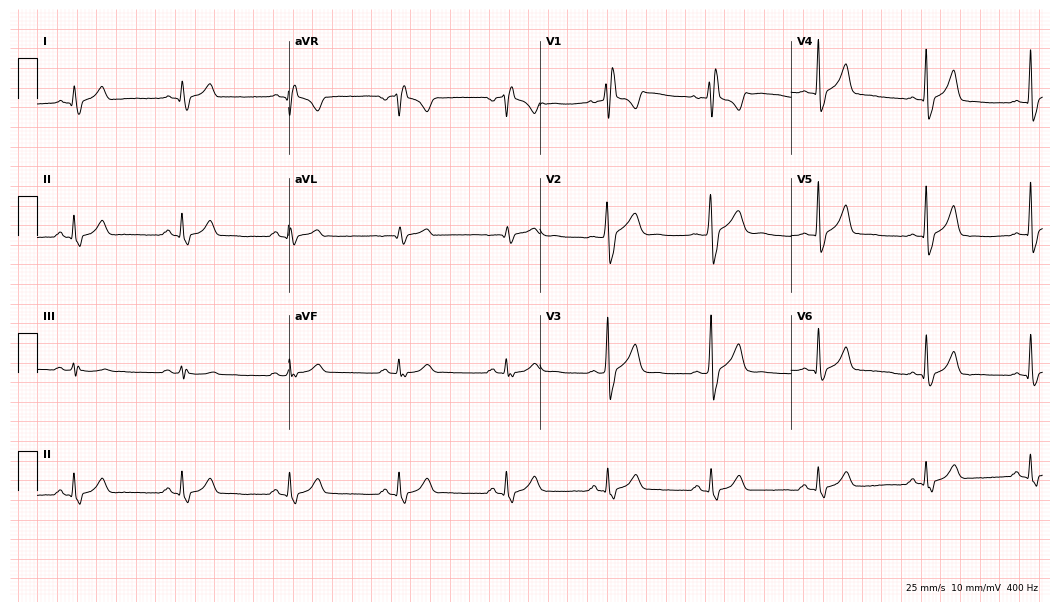
12-lead ECG (10.2-second recording at 400 Hz) from a male patient, 41 years old. Findings include right bundle branch block.